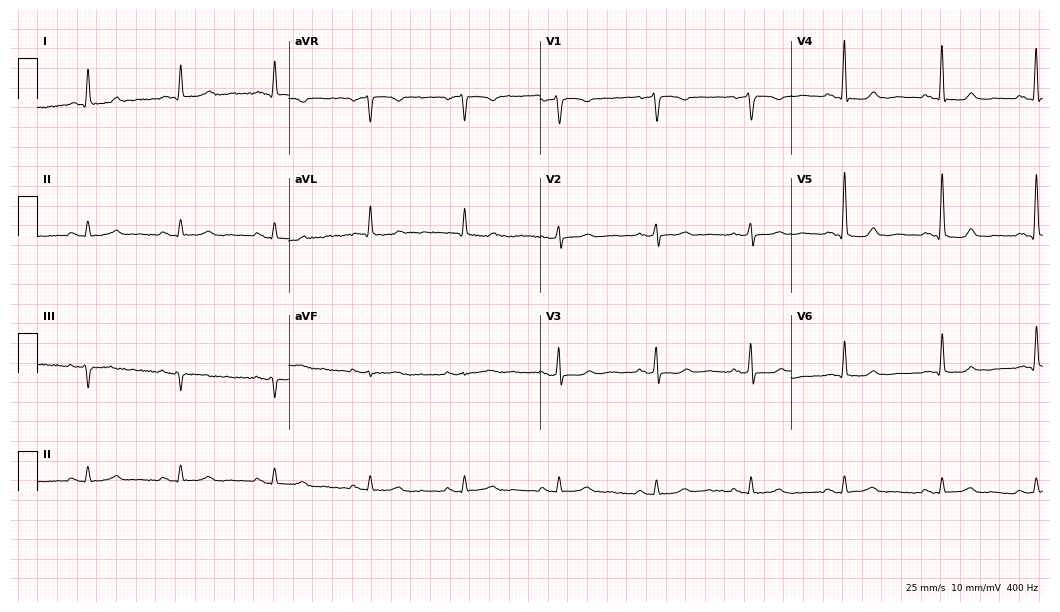
12-lead ECG from a woman, 69 years old. No first-degree AV block, right bundle branch block, left bundle branch block, sinus bradycardia, atrial fibrillation or sinus tachycardia recorded for this tracing. Findings outside these six are not listed.